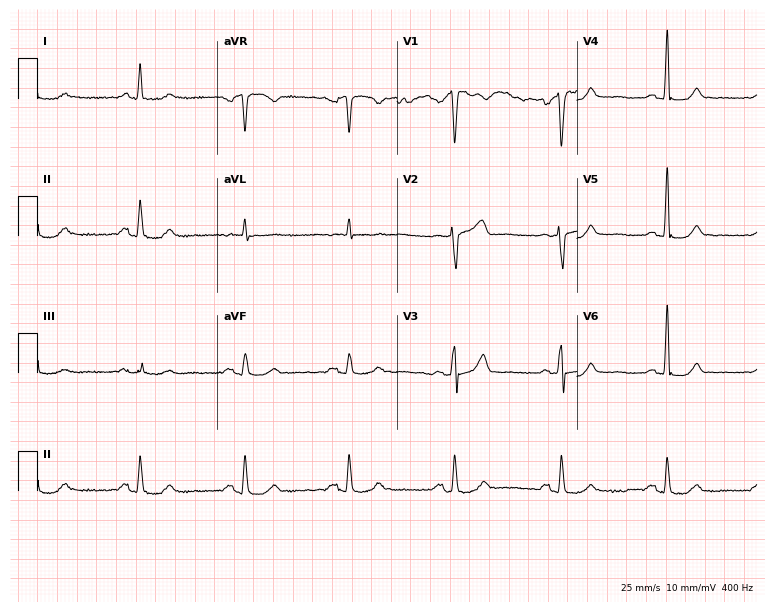
ECG (7.3-second recording at 400 Hz) — a 75-year-old male. Labelled as a normal ECG.